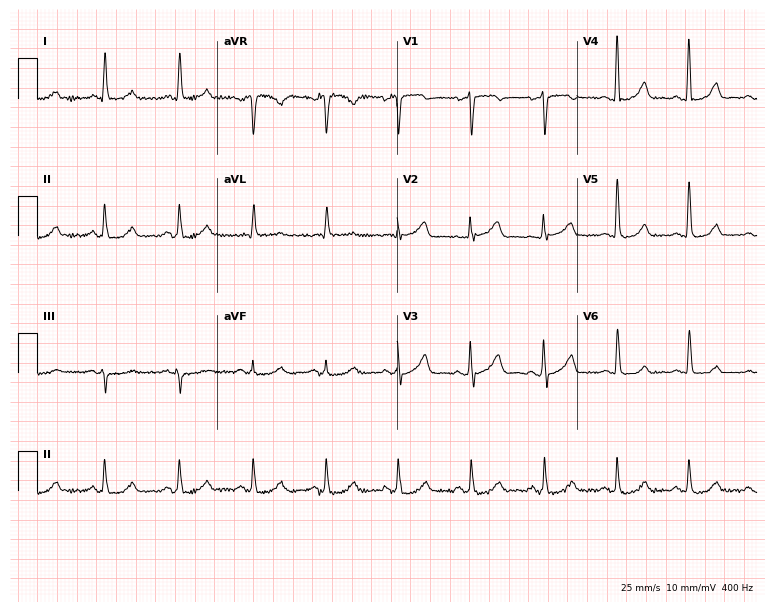
Standard 12-lead ECG recorded from a female, 67 years old. Read as a normal ECG.